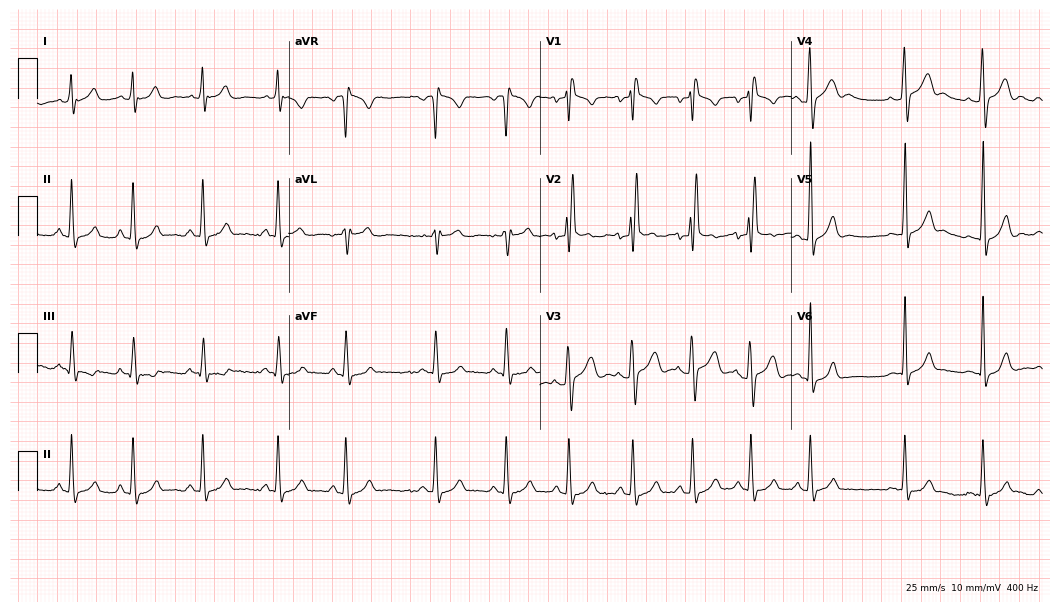
12-lead ECG from a 24-year-old male patient (10.2-second recording at 400 Hz). Shows right bundle branch block (RBBB).